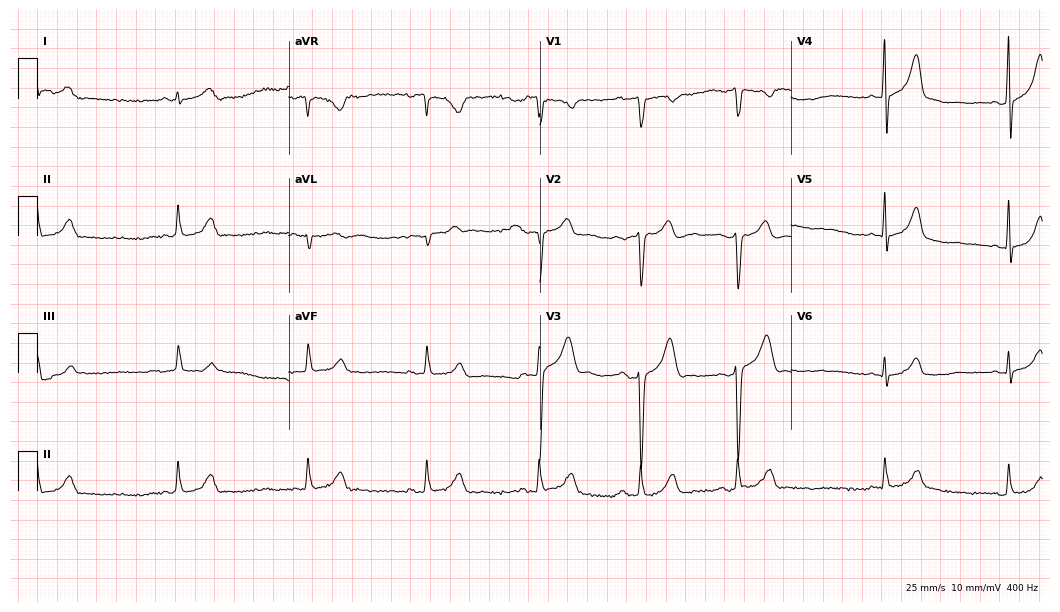
Standard 12-lead ECG recorded from a 23-year-old male. Read as a normal ECG.